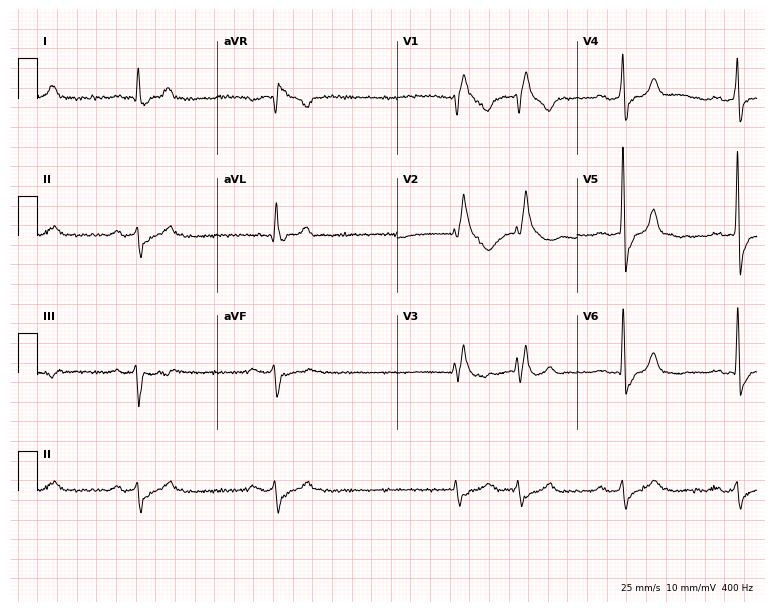
ECG — a man, 70 years old. Screened for six findings — first-degree AV block, right bundle branch block, left bundle branch block, sinus bradycardia, atrial fibrillation, sinus tachycardia — none is recorded.